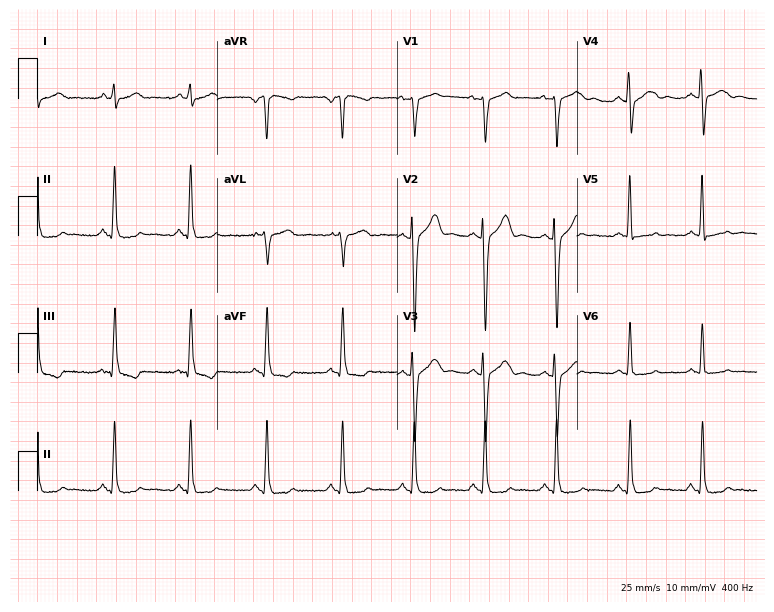
ECG — a man, 39 years old. Screened for six findings — first-degree AV block, right bundle branch block, left bundle branch block, sinus bradycardia, atrial fibrillation, sinus tachycardia — none is recorded.